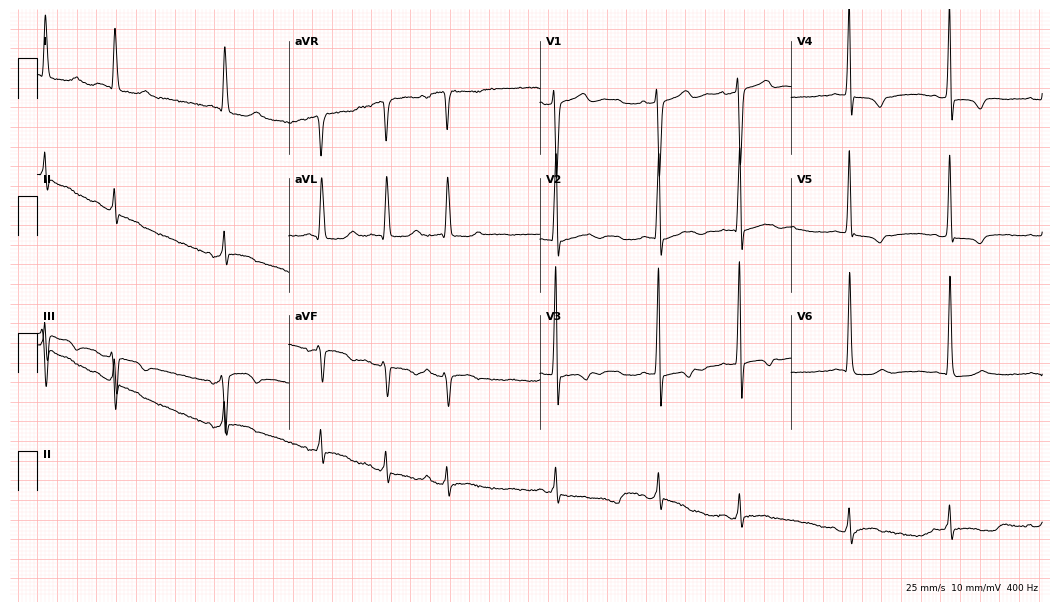
12-lead ECG from a woman, 80 years old. No first-degree AV block, right bundle branch block (RBBB), left bundle branch block (LBBB), sinus bradycardia, atrial fibrillation (AF) or sinus tachycardia recorded for this tracing. Only these six findings were labelled.